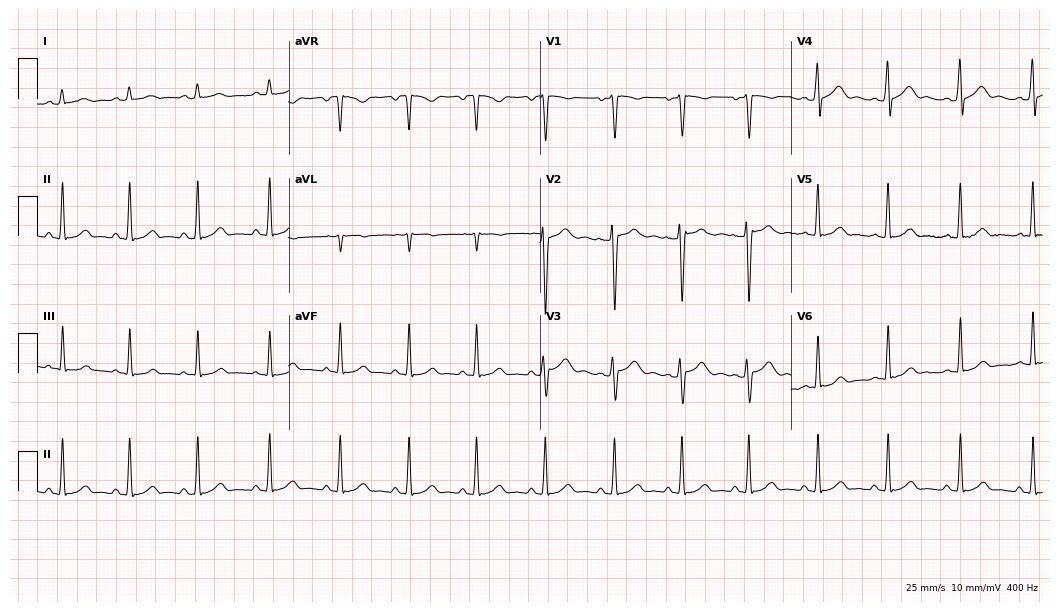
Electrocardiogram (10.2-second recording at 400 Hz), a male, 17 years old. Overall reading on record: normal ECG.